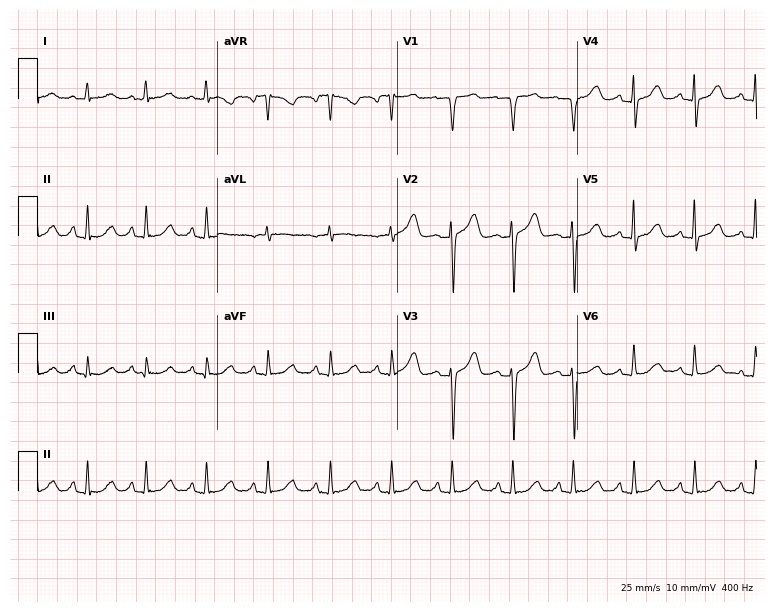
Standard 12-lead ECG recorded from a woman, 65 years old (7.3-second recording at 400 Hz). Read as a normal ECG.